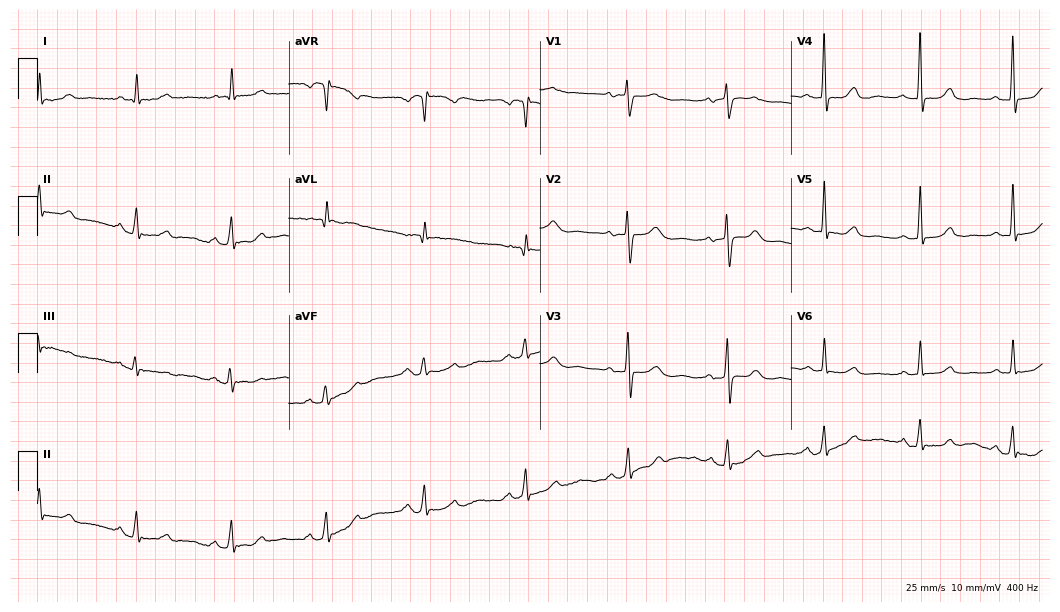
Resting 12-lead electrocardiogram. Patient: a 68-year-old woman. None of these six findings is recorded: first-degree AV block, right bundle branch block, left bundle branch block, sinus bradycardia, atrial fibrillation, sinus tachycardia. Other findings, if any, are not listed.